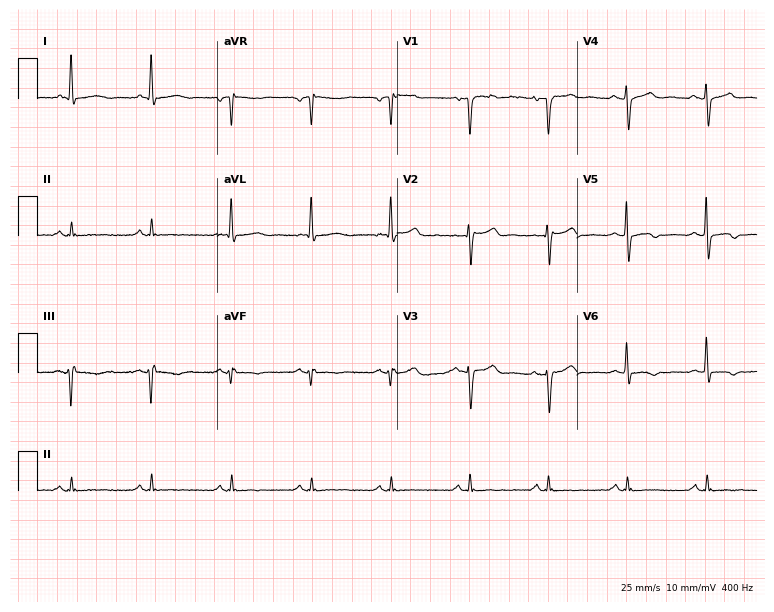
12-lead ECG from a man, 73 years old. No first-degree AV block, right bundle branch block, left bundle branch block, sinus bradycardia, atrial fibrillation or sinus tachycardia recorded for this tracing. Findings outside these six are not listed.